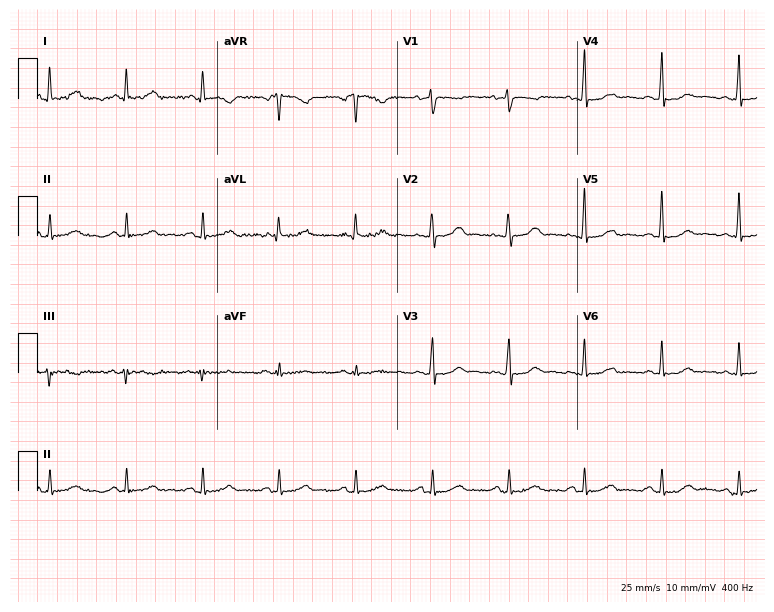
12-lead ECG from a 50-year-old female. Recorded interpretation: within normal limits.